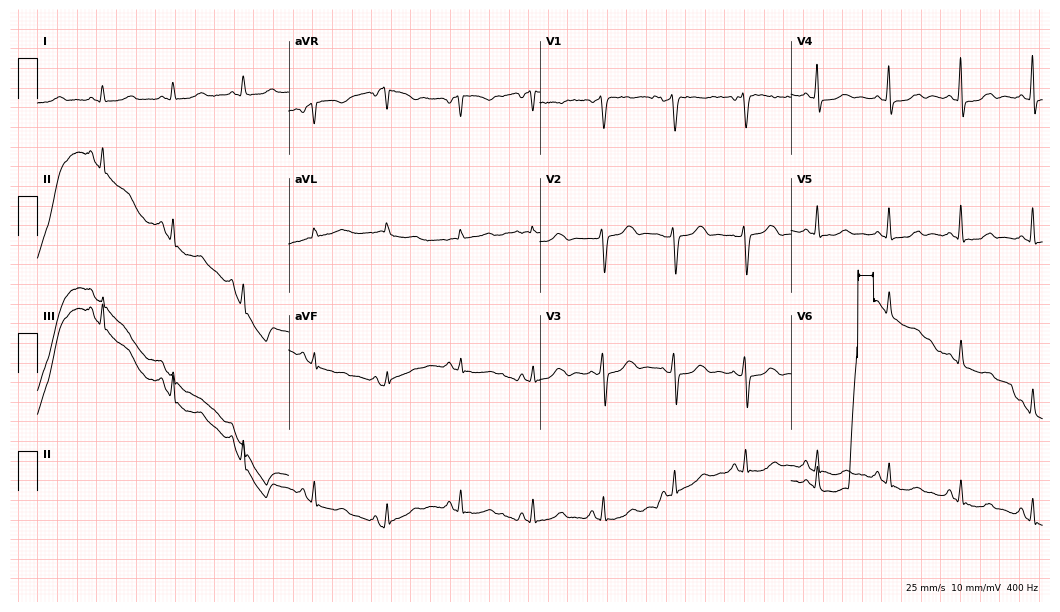
12-lead ECG from a woman, 56 years old. Screened for six findings — first-degree AV block, right bundle branch block, left bundle branch block, sinus bradycardia, atrial fibrillation, sinus tachycardia — none is recorded.